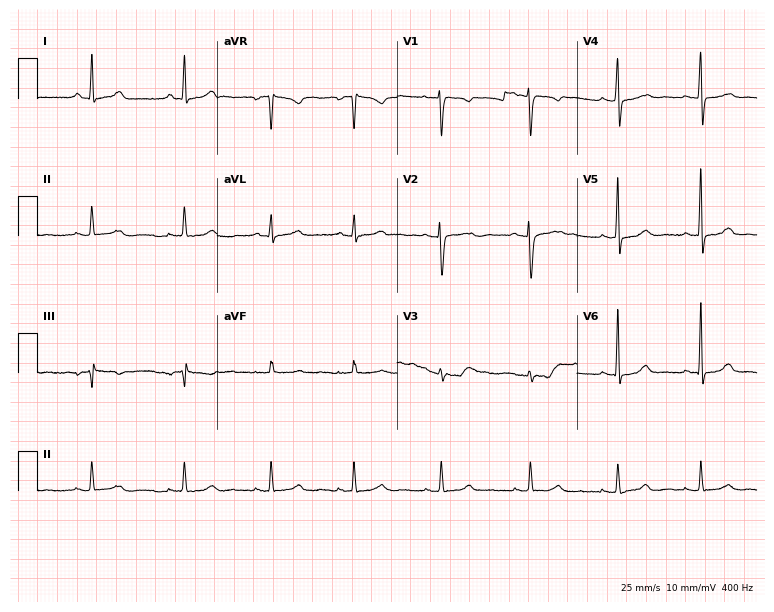
Electrocardiogram, a 42-year-old female patient. Overall reading on record: normal ECG.